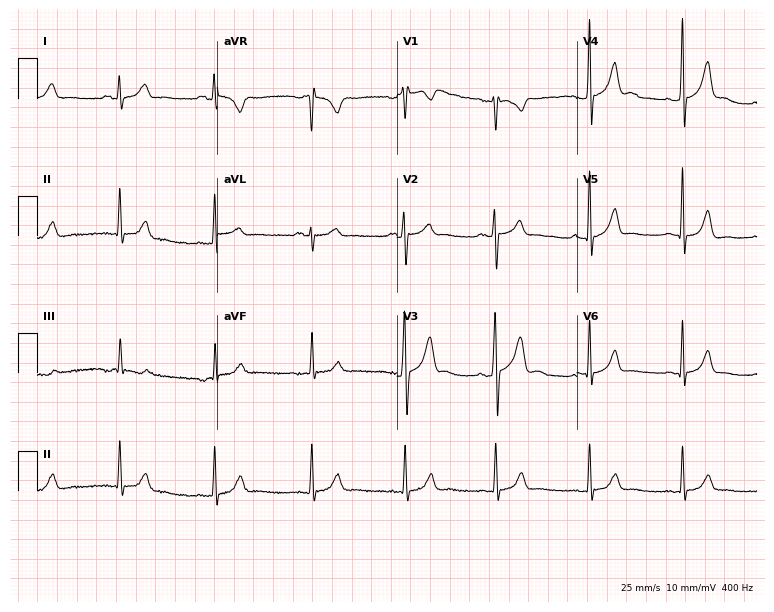
12-lead ECG (7.3-second recording at 400 Hz) from a male, 23 years old. Labelled as a normal ECG.